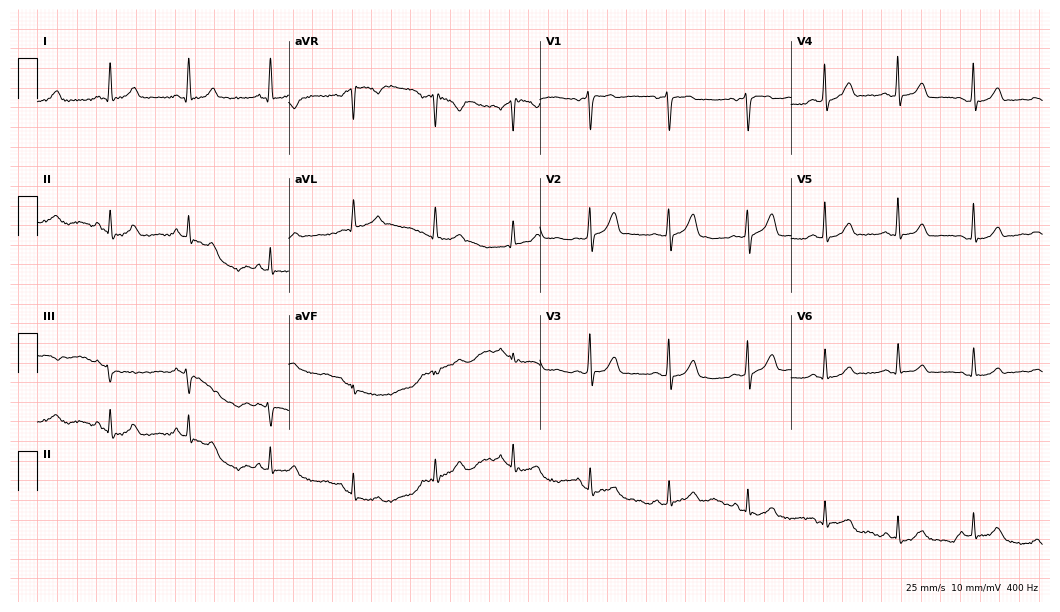
Resting 12-lead electrocardiogram (10.2-second recording at 400 Hz). Patient: a woman, 56 years old. Read as a normal ECG.